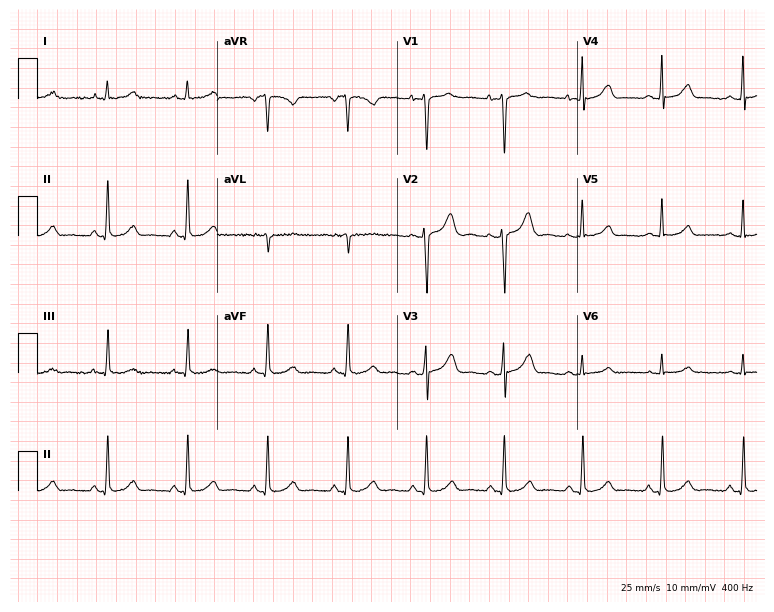
ECG (7.3-second recording at 400 Hz) — a female patient, 36 years old. Screened for six findings — first-degree AV block, right bundle branch block (RBBB), left bundle branch block (LBBB), sinus bradycardia, atrial fibrillation (AF), sinus tachycardia — none is recorded.